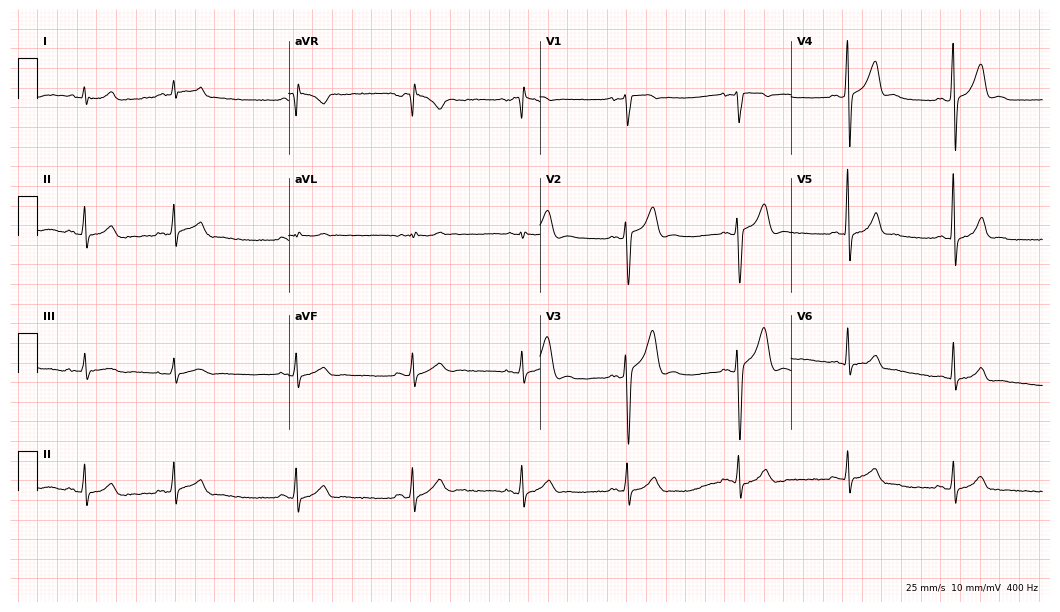
Electrocardiogram (10.2-second recording at 400 Hz), a male patient, 26 years old. Overall reading on record: normal ECG.